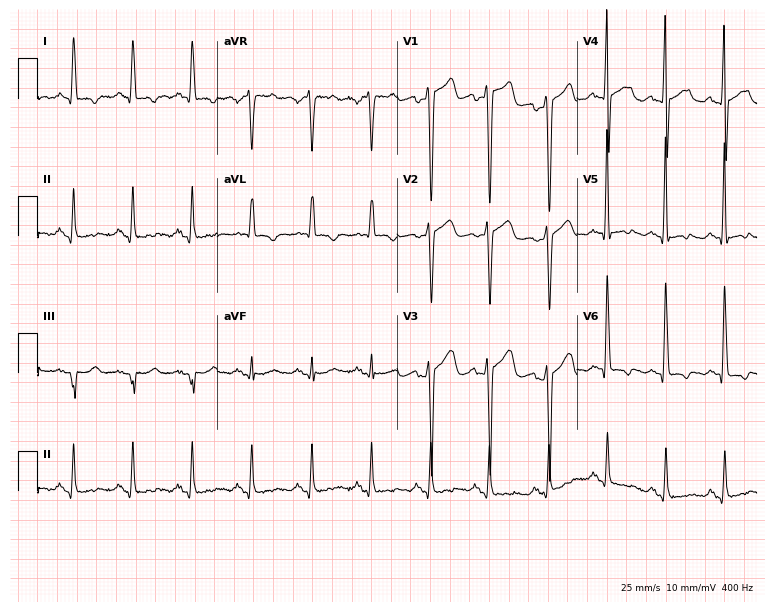
Standard 12-lead ECG recorded from a 50-year-old male patient. None of these six findings is recorded: first-degree AV block, right bundle branch block, left bundle branch block, sinus bradycardia, atrial fibrillation, sinus tachycardia. Only these six findings were labelled.